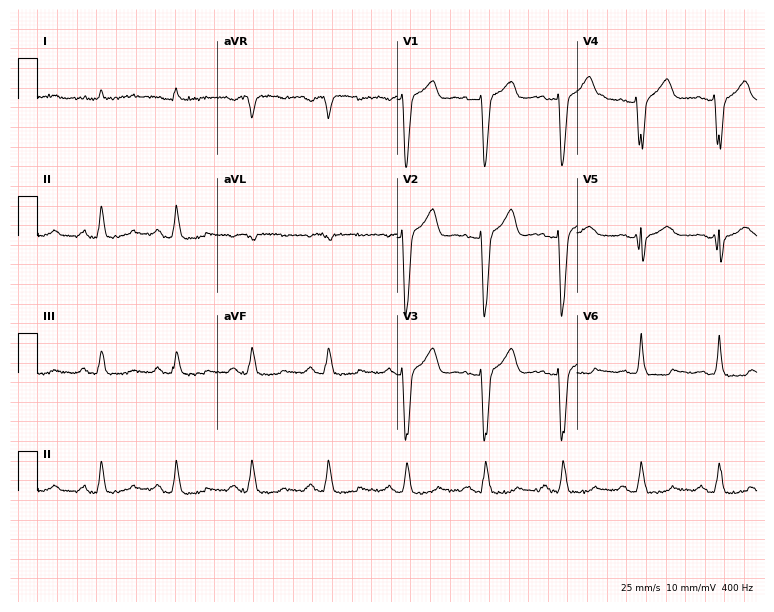
12-lead ECG (7.3-second recording at 400 Hz) from a male patient, 78 years old. Findings include left bundle branch block (LBBB).